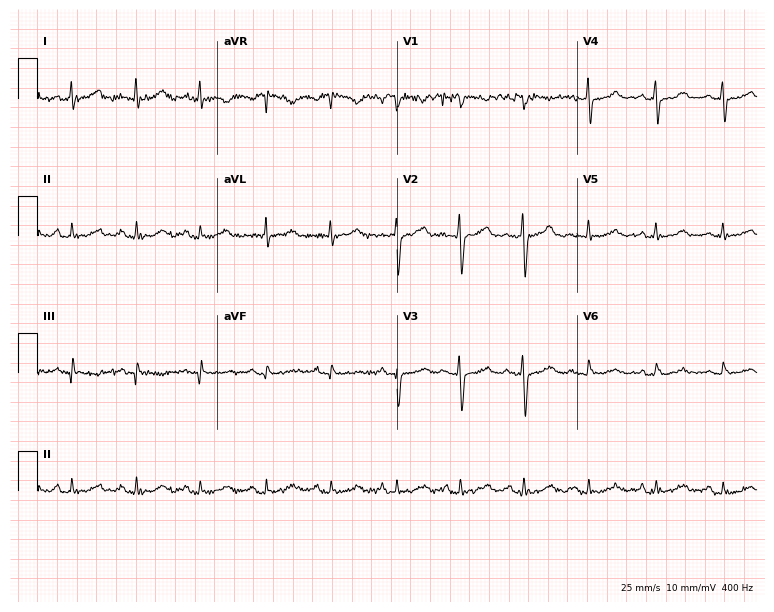
12-lead ECG from a female patient, 58 years old. Recorded interpretation: within normal limits.